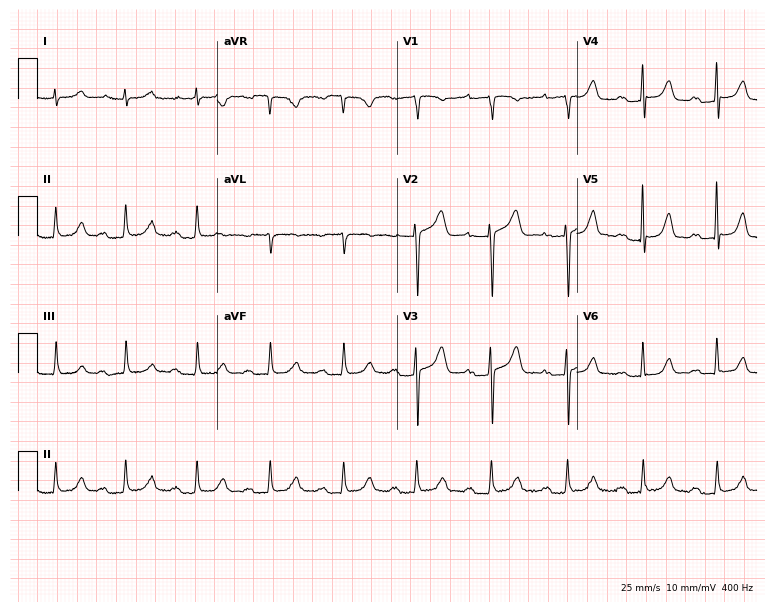
ECG — an 83-year-old female patient. Findings include first-degree AV block.